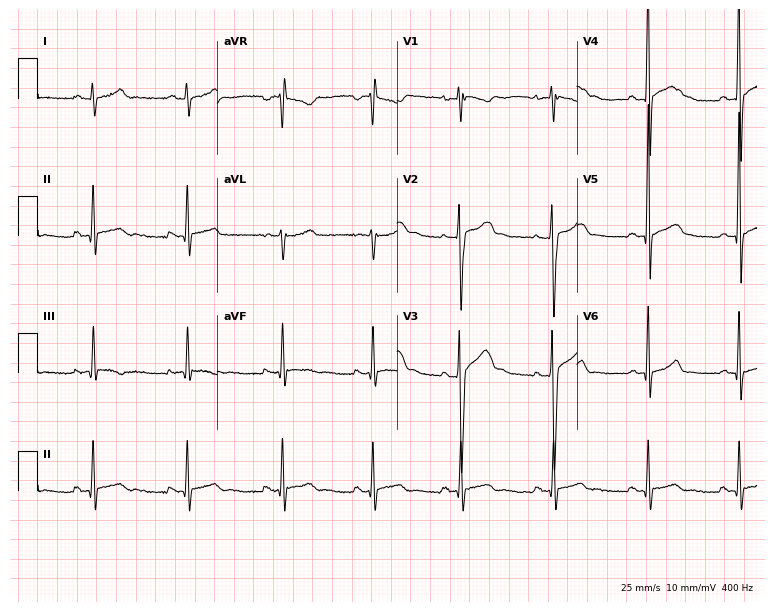
Electrocardiogram, a male, 17 years old. Of the six screened findings (first-degree AV block, right bundle branch block, left bundle branch block, sinus bradycardia, atrial fibrillation, sinus tachycardia), none is recorded. Other findings, if any, are not listed.